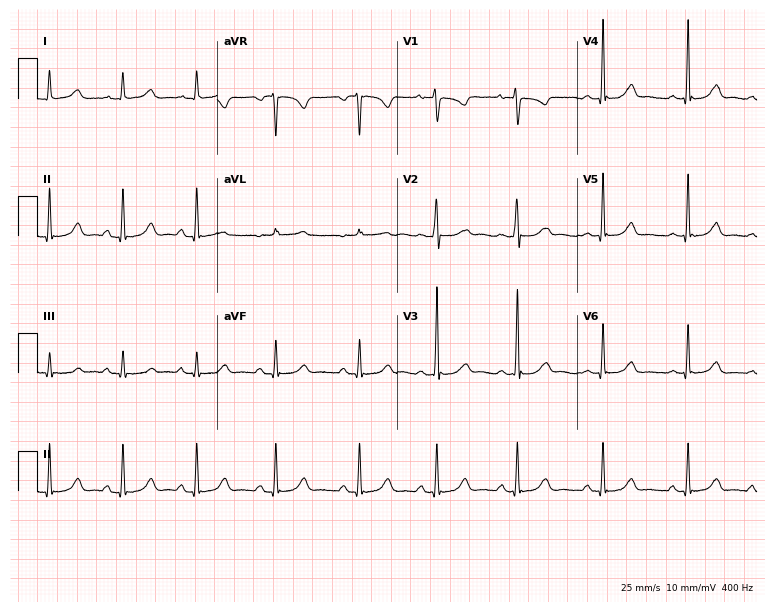
Resting 12-lead electrocardiogram (7.3-second recording at 400 Hz). Patient: a 34-year-old woman. Read as a normal ECG.